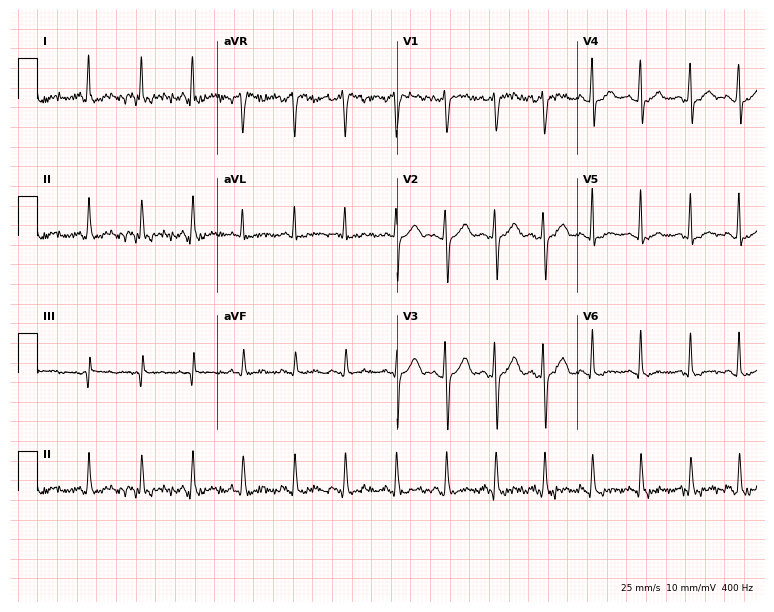
ECG (7.3-second recording at 400 Hz) — a woman, 34 years old. Screened for six findings — first-degree AV block, right bundle branch block, left bundle branch block, sinus bradycardia, atrial fibrillation, sinus tachycardia — none is recorded.